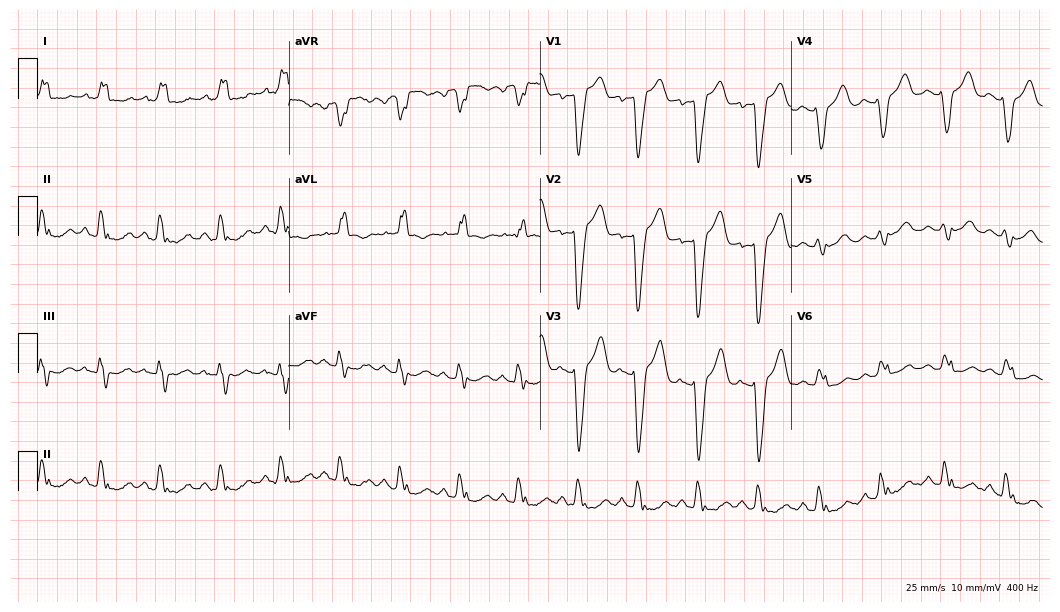
12-lead ECG from a 69-year-old female patient (10.2-second recording at 400 Hz). Shows left bundle branch block (LBBB).